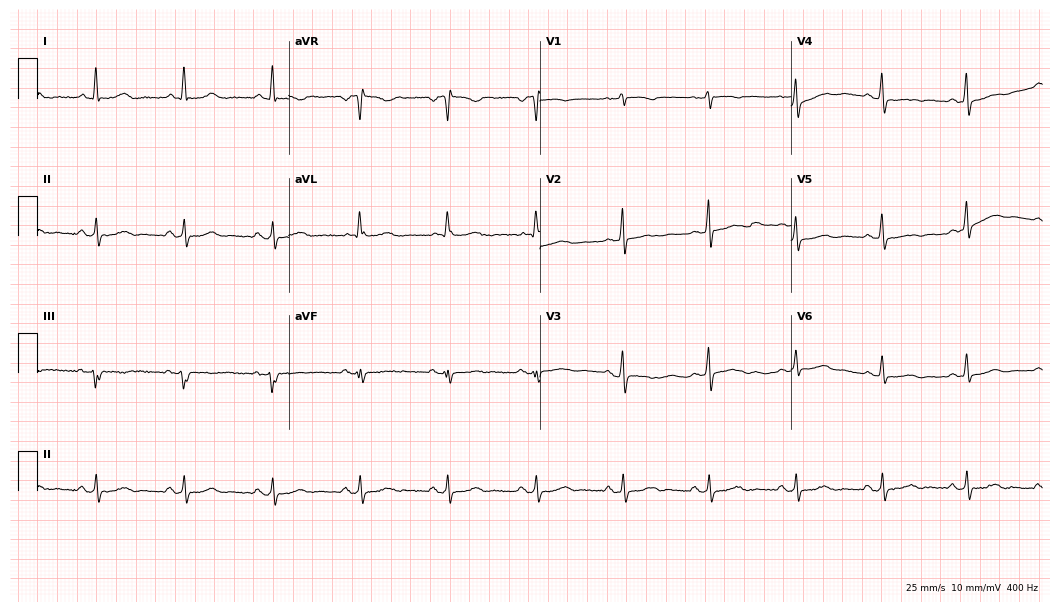
12-lead ECG from a female, 68 years old. Screened for six findings — first-degree AV block, right bundle branch block, left bundle branch block, sinus bradycardia, atrial fibrillation, sinus tachycardia — none is recorded.